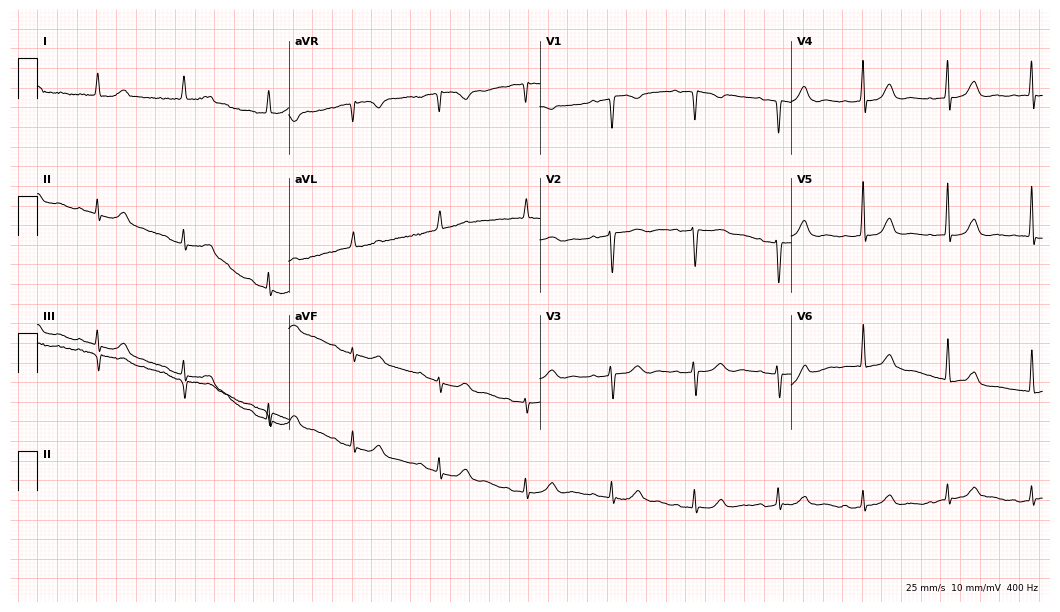
Resting 12-lead electrocardiogram. Patient: a 79-year-old female. None of these six findings is recorded: first-degree AV block, right bundle branch block, left bundle branch block, sinus bradycardia, atrial fibrillation, sinus tachycardia.